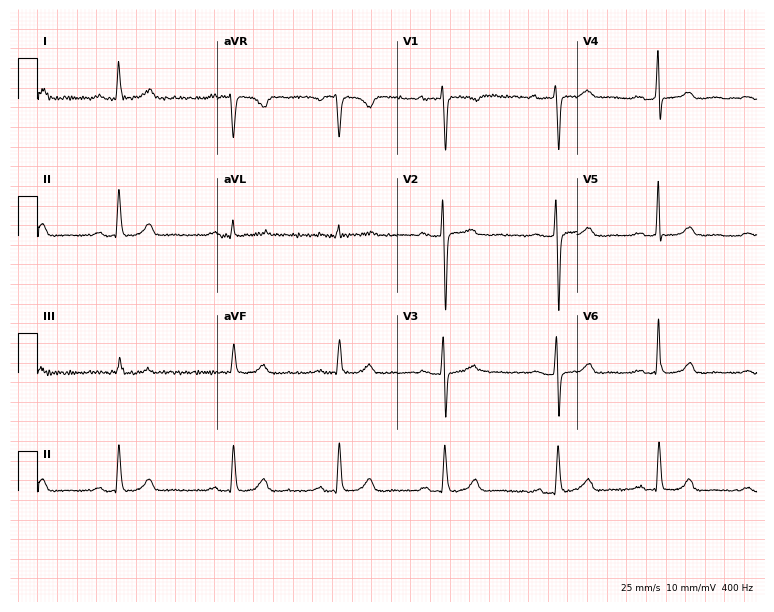
ECG (7.3-second recording at 400 Hz) — a woman, 28 years old. Labelled as a normal ECG.